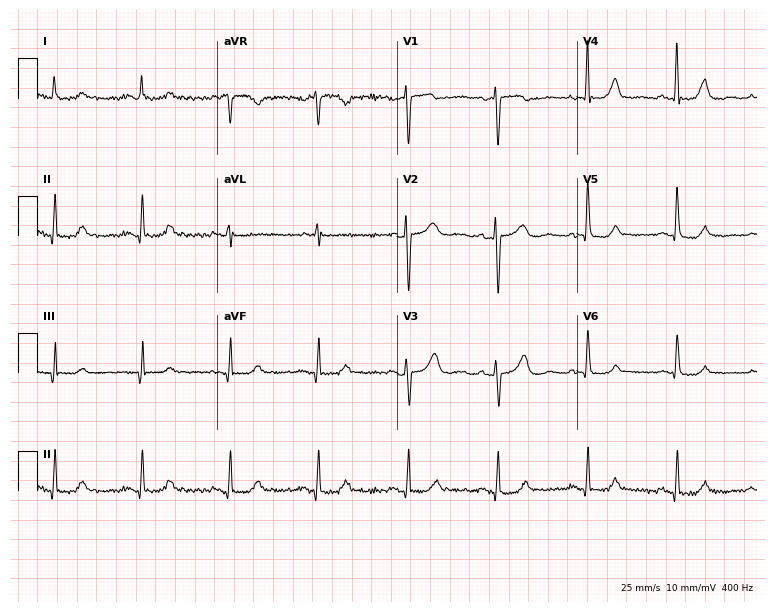
Standard 12-lead ECG recorded from a 59-year-old woman. None of these six findings is recorded: first-degree AV block, right bundle branch block (RBBB), left bundle branch block (LBBB), sinus bradycardia, atrial fibrillation (AF), sinus tachycardia.